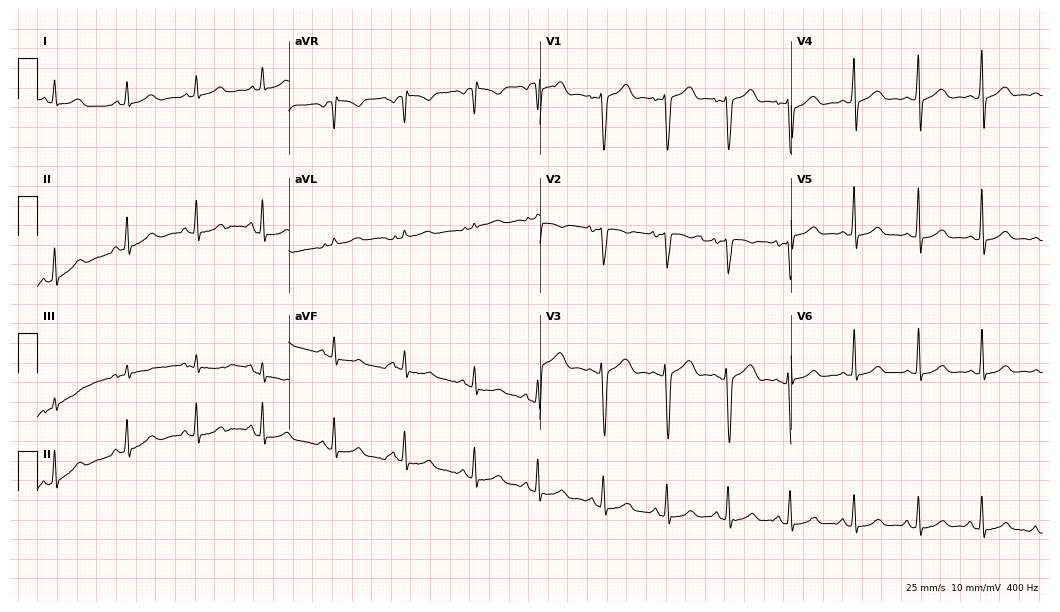
Standard 12-lead ECG recorded from a man, 24 years old. Read as a normal ECG.